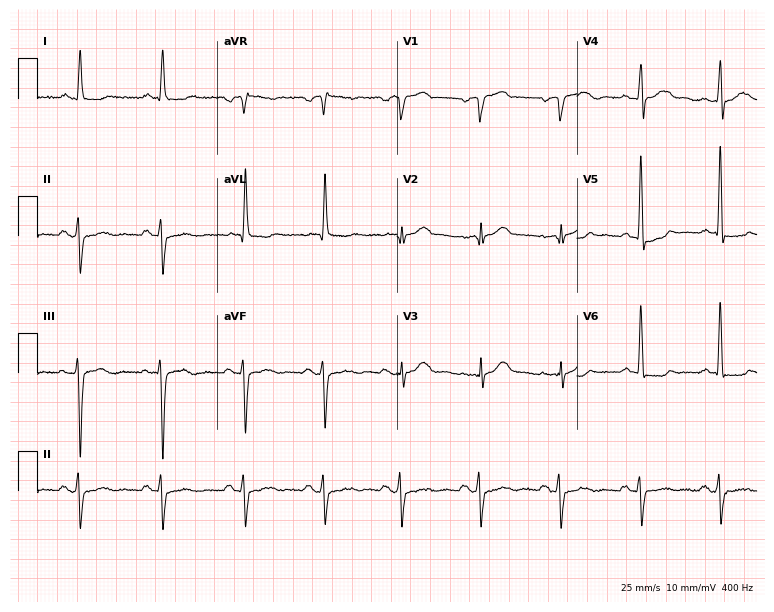
12-lead ECG (7.3-second recording at 400 Hz) from an 81-year-old male patient. Screened for six findings — first-degree AV block, right bundle branch block (RBBB), left bundle branch block (LBBB), sinus bradycardia, atrial fibrillation (AF), sinus tachycardia — none is recorded. Other findings, if any, are not listed.